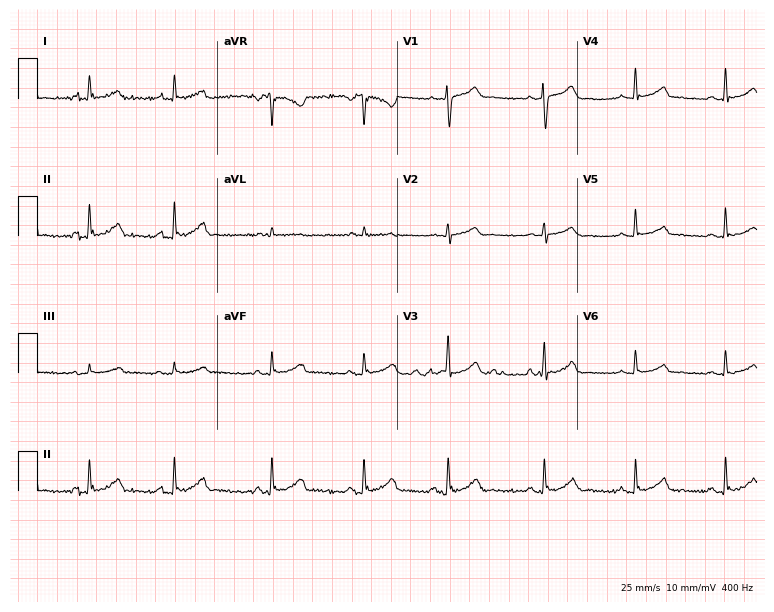
ECG (7.3-second recording at 400 Hz) — a man, 59 years old. Labelled as a normal ECG.